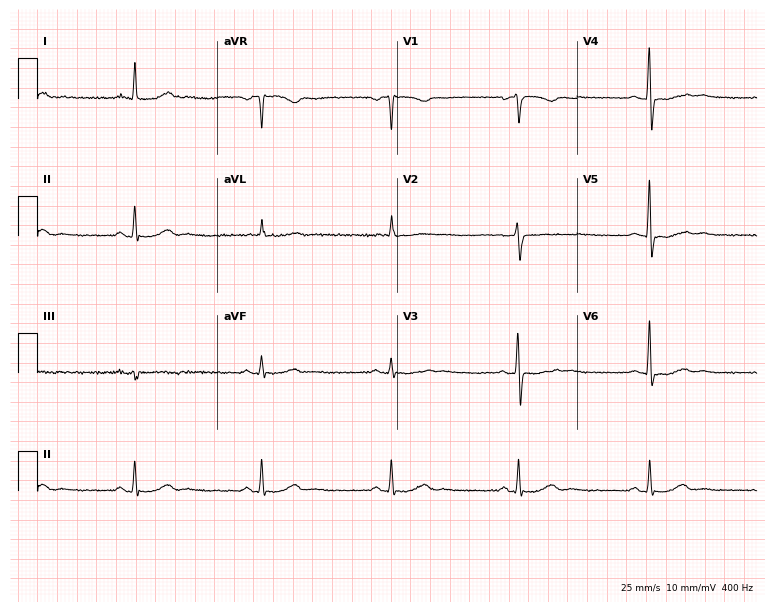
12-lead ECG (7.3-second recording at 400 Hz) from a 55-year-old female. Screened for six findings — first-degree AV block, right bundle branch block, left bundle branch block, sinus bradycardia, atrial fibrillation, sinus tachycardia — none is recorded.